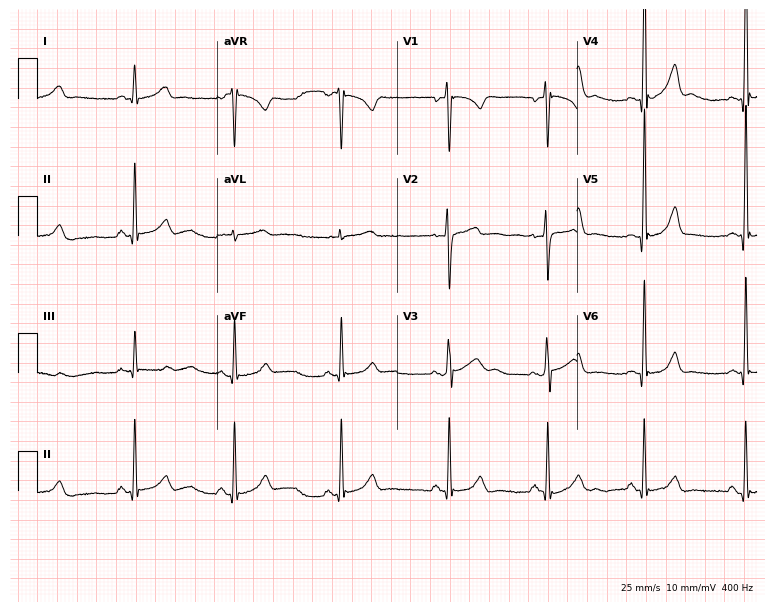
12-lead ECG (7.3-second recording at 400 Hz) from a man, 17 years old. Labelled as a normal ECG.